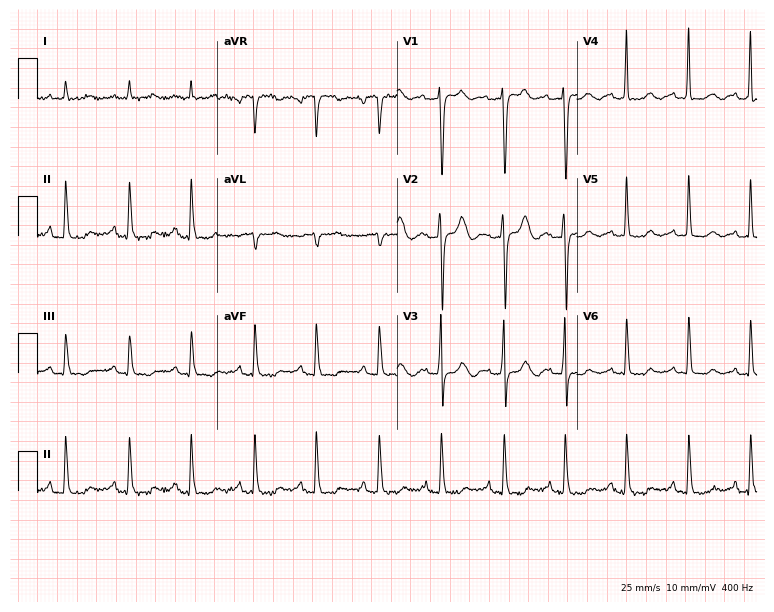
Electrocardiogram, a female, 78 years old. Overall reading on record: normal ECG.